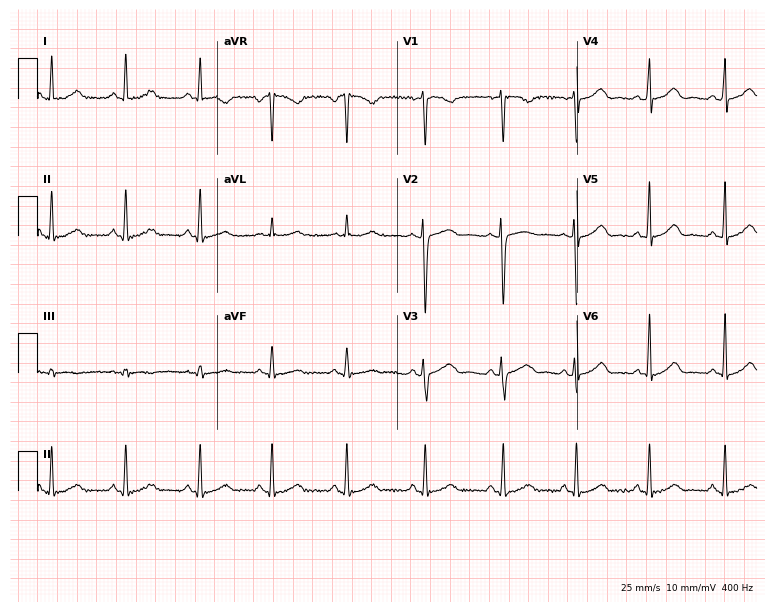
12-lead ECG (7.3-second recording at 400 Hz) from a 28-year-old female. Labelled as a normal ECG.